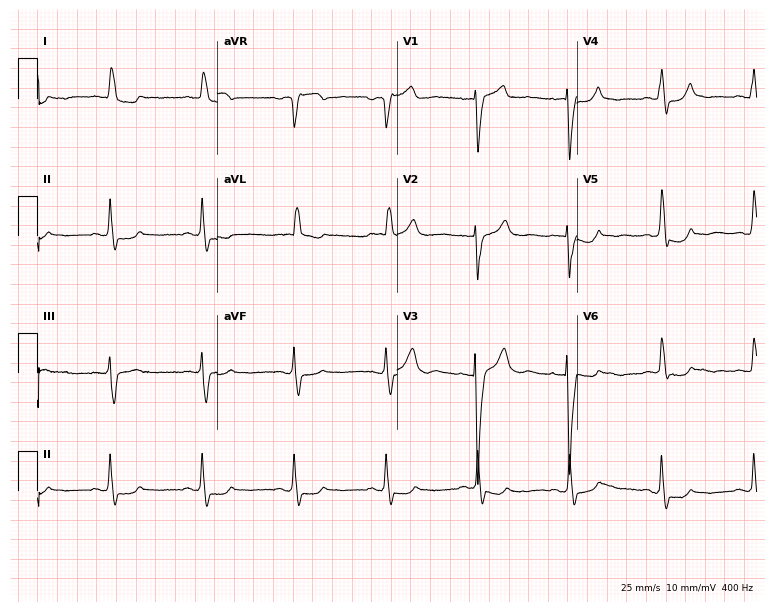
12-lead ECG (7.3-second recording at 400 Hz) from an 83-year-old male patient. Screened for six findings — first-degree AV block, right bundle branch block, left bundle branch block, sinus bradycardia, atrial fibrillation, sinus tachycardia — none is recorded.